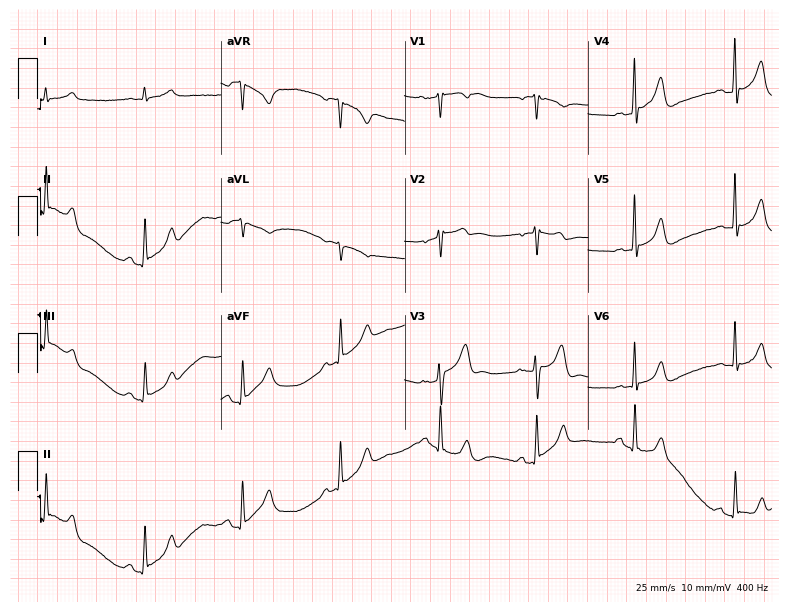
12-lead ECG (7.5-second recording at 400 Hz) from a 56-year-old male. Screened for six findings — first-degree AV block, right bundle branch block, left bundle branch block, sinus bradycardia, atrial fibrillation, sinus tachycardia — none is recorded. Only these six findings were labelled.